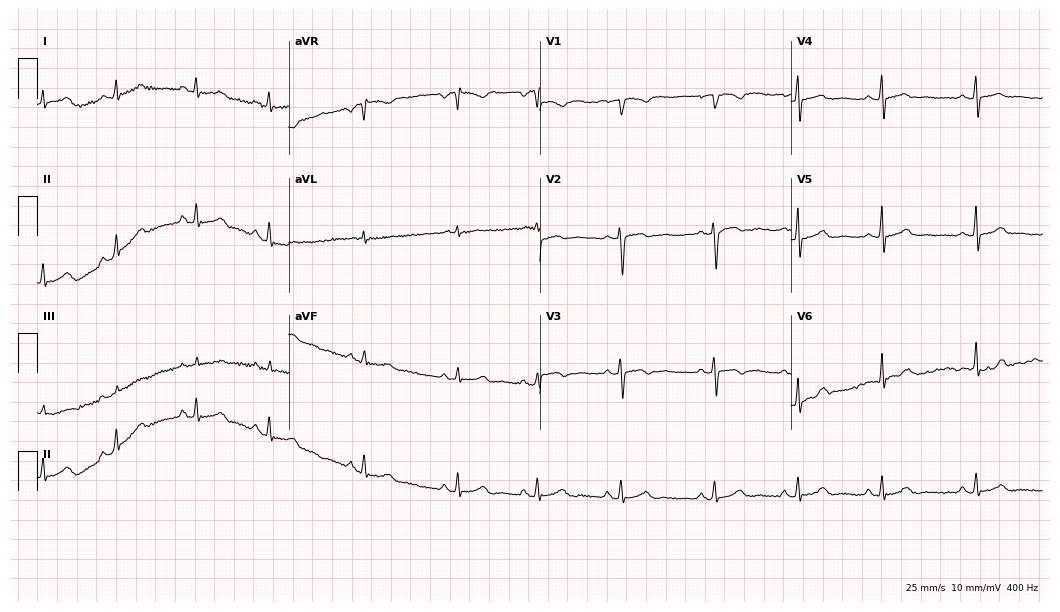
Standard 12-lead ECG recorded from a female, 18 years old. Read as a normal ECG.